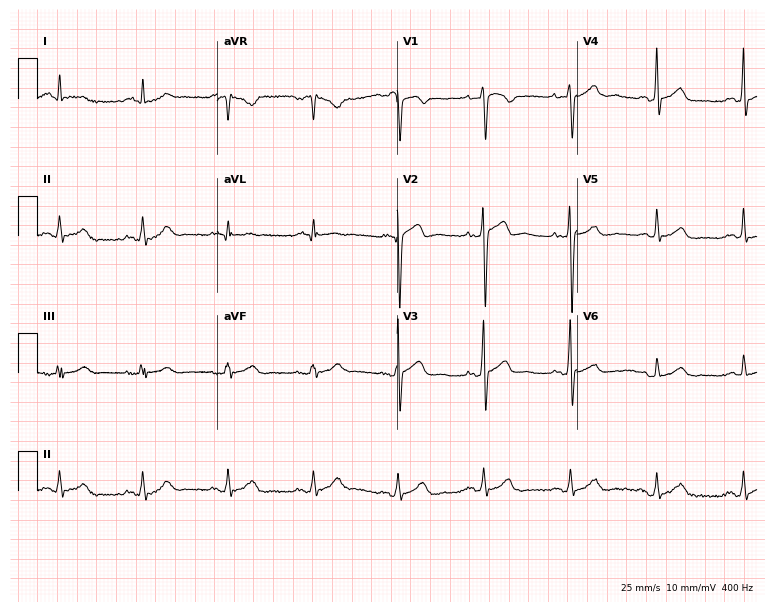
Standard 12-lead ECG recorded from a male, 30 years old (7.3-second recording at 400 Hz). None of these six findings is recorded: first-degree AV block, right bundle branch block (RBBB), left bundle branch block (LBBB), sinus bradycardia, atrial fibrillation (AF), sinus tachycardia.